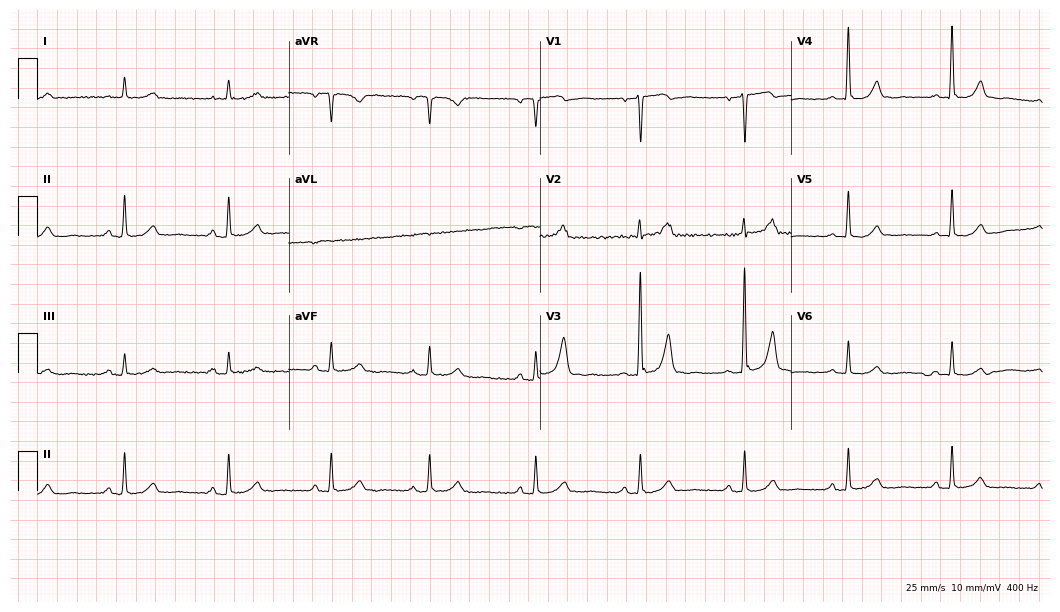
Electrocardiogram, a 72-year-old man. Overall reading on record: normal ECG.